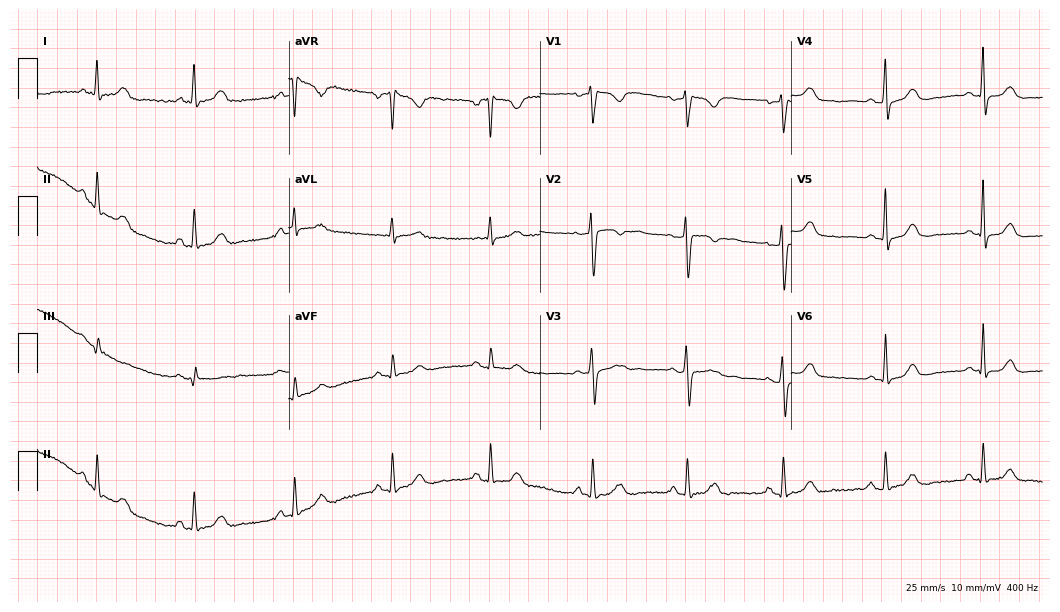
12-lead ECG from a female patient, 41 years old. Recorded interpretation: within normal limits.